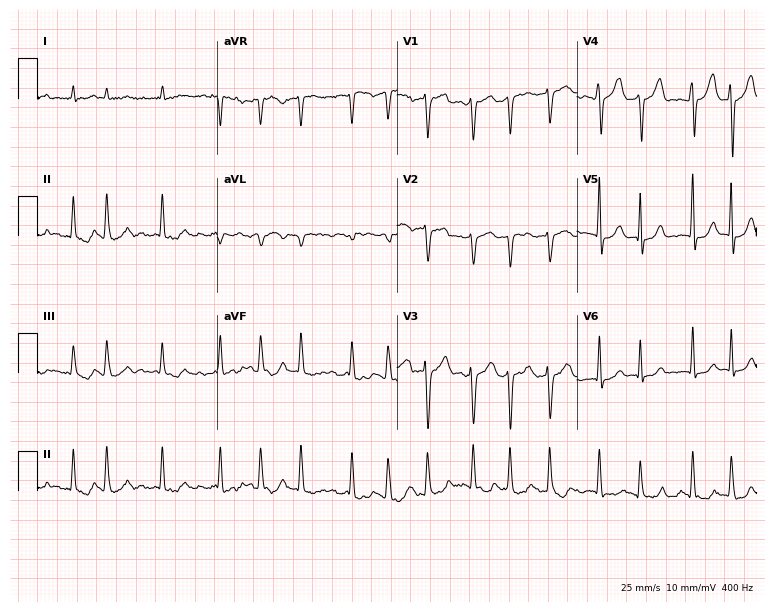
12-lead ECG from a male, 79 years old (7.3-second recording at 400 Hz). Shows atrial fibrillation.